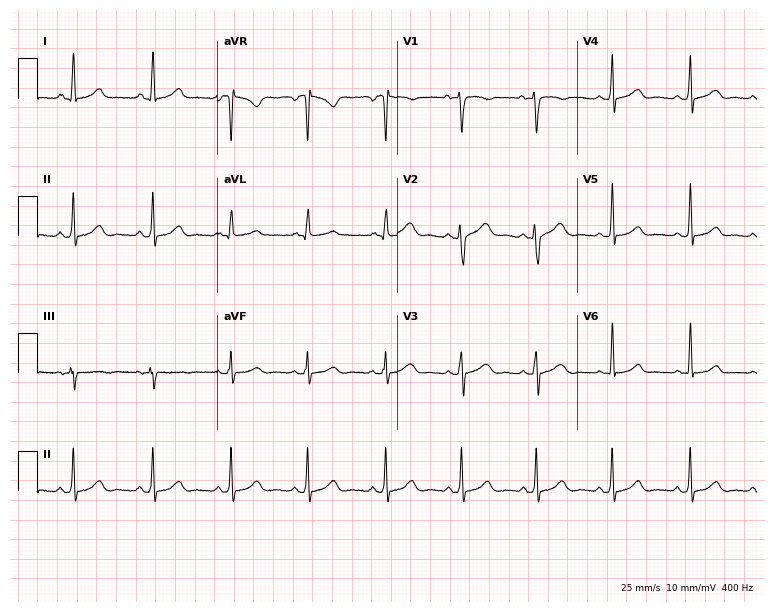
Resting 12-lead electrocardiogram (7.3-second recording at 400 Hz). Patient: a 20-year-old female. None of these six findings is recorded: first-degree AV block, right bundle branch block, left bundle branch block, sinus bradycardia, atrial fibrillation, sinus tachycardia.